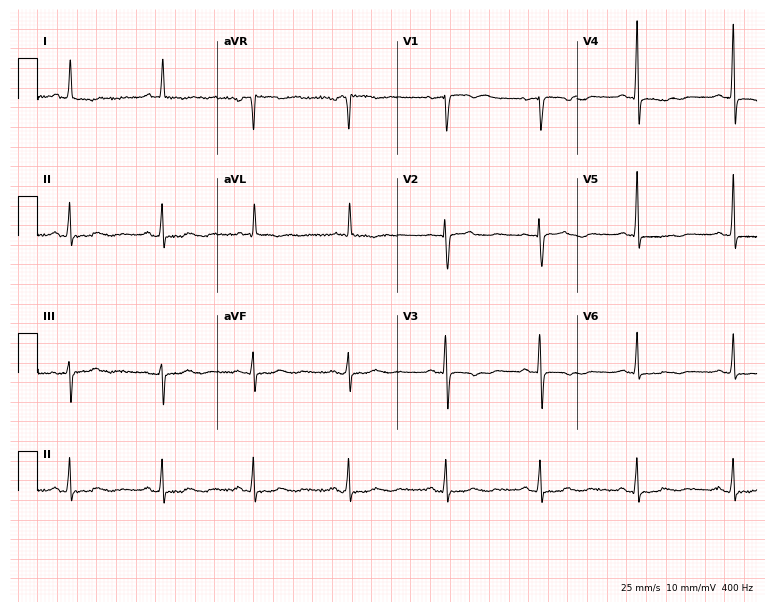
ECG (7.3-second recording at 400 Hz) — a 70-year-old woman. Screened for six findings — first-degree AV block, right bundle branch block, left bundle branch block, sinus bradycardia, atrial fibrillation, sinus tachycardia — none is recorded. Only these six findings were labelled.